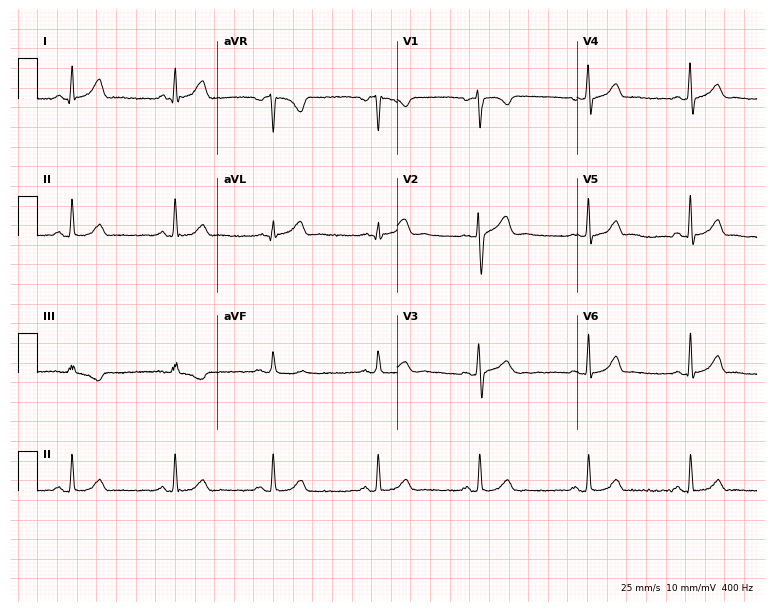
Resting 12-lead electrocardiogram (7.3-second recording at 400 Hz). Patient: a 25-year-old woman. None of these six findings is recorded: first-degree AV block, right bundle branch block, left bundle branch block, sinus bradycardia, atrial fibrillation, sinus tachycardia. Findings outside these six are not listed.